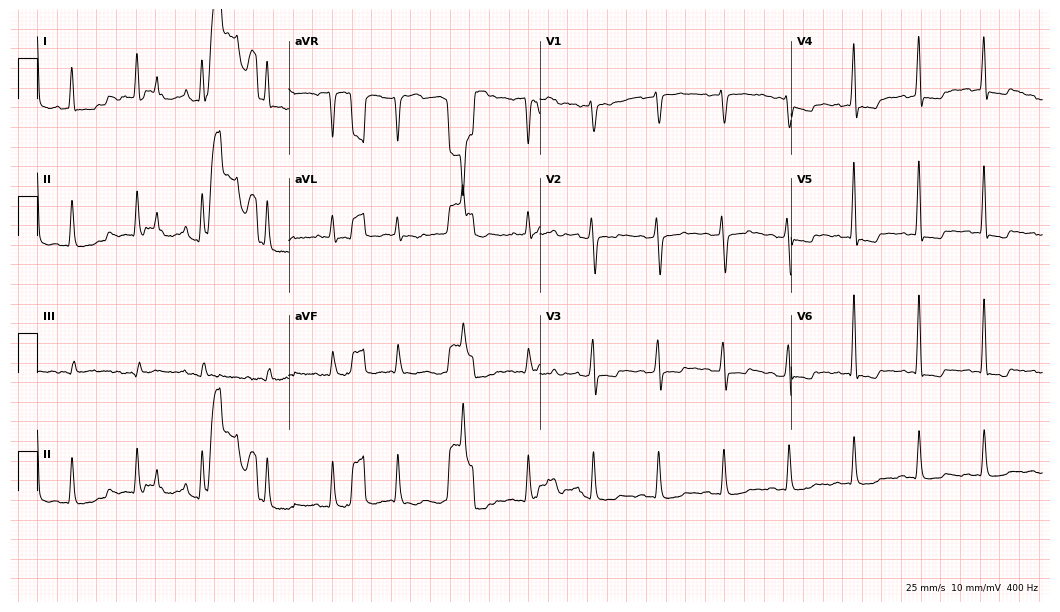
Electrocardiogram (10.2-second recording at 400 Hz), a male patient, 48 years old. Of the six screened findings (first-degree AV block, right bundle branch block (RBBB), left bundle branch block (LBBB), sinus bradycardia, atrial fibrillation (AF), sinus tachycardia), none is recorded.